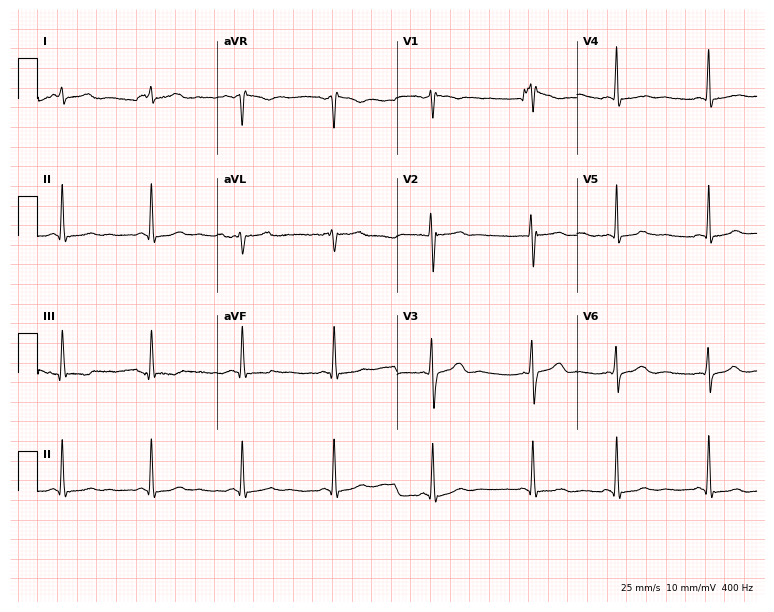
ECG — a woman, 17 years old. Labelled as a normal ECG.